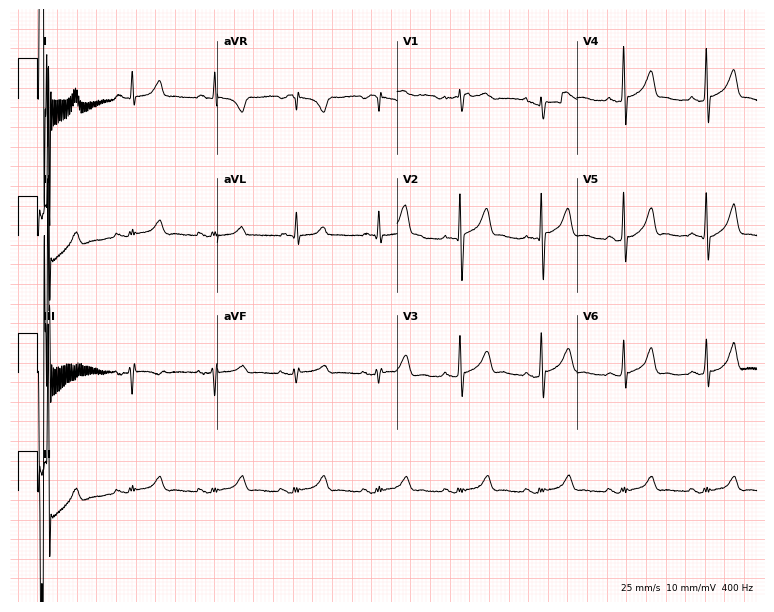
Electrocardiogram, a 50-year-old male patient. Of the six screened findings (first-degree AV block, right bundle branch block, left bundle branch block, sinus bradycardia, atrial fibrillation, sinus tachycardia), none is recorded. Other findings, if any, are not listed.